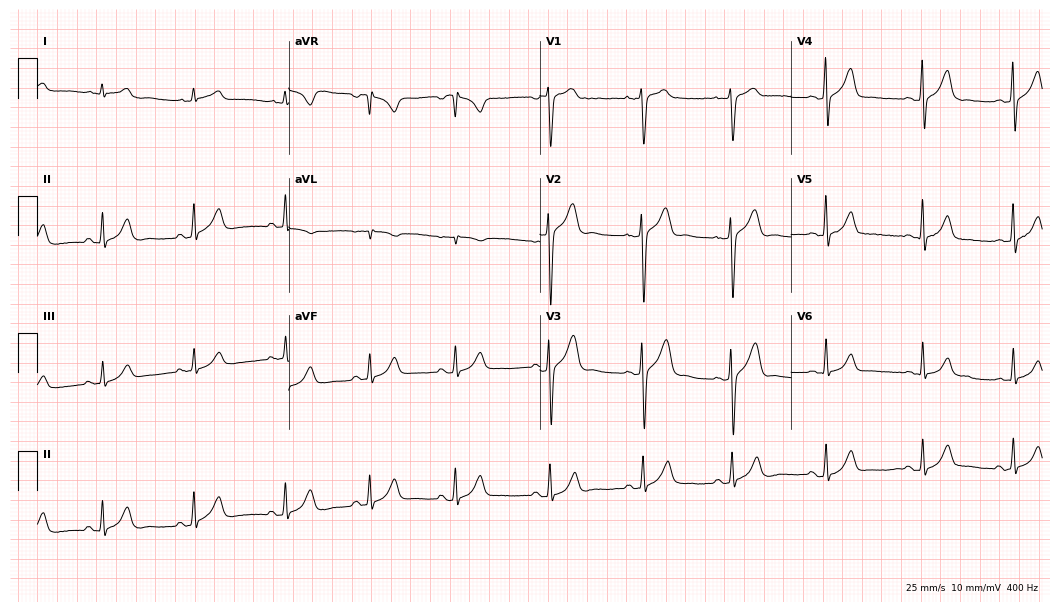
12-lead ECG from a male, 27 years old (10.2-second recording at 400 Hz). No first-degree AV block, right bundle branch block, left bundle branch block, sinus bradycardia, atrial fibrillation or sinus tachycardia recorded for this tracing. Other findings, if any, are not listed.